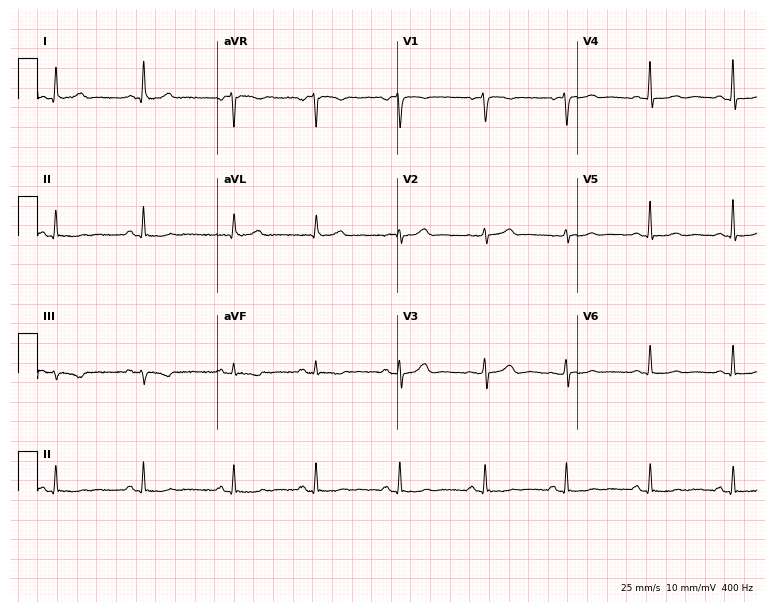
Resting 12-lead electrocardiogram. Patient: a 36-year-old woman. None of these six findings is recorded: first-degree AV block, right bundle branch block (RBBB), left bundle branch block (LBBB), sinus bradycardia, atrial fibrillation (AF), sinus tachycardia. Findings outside these six are not listed.